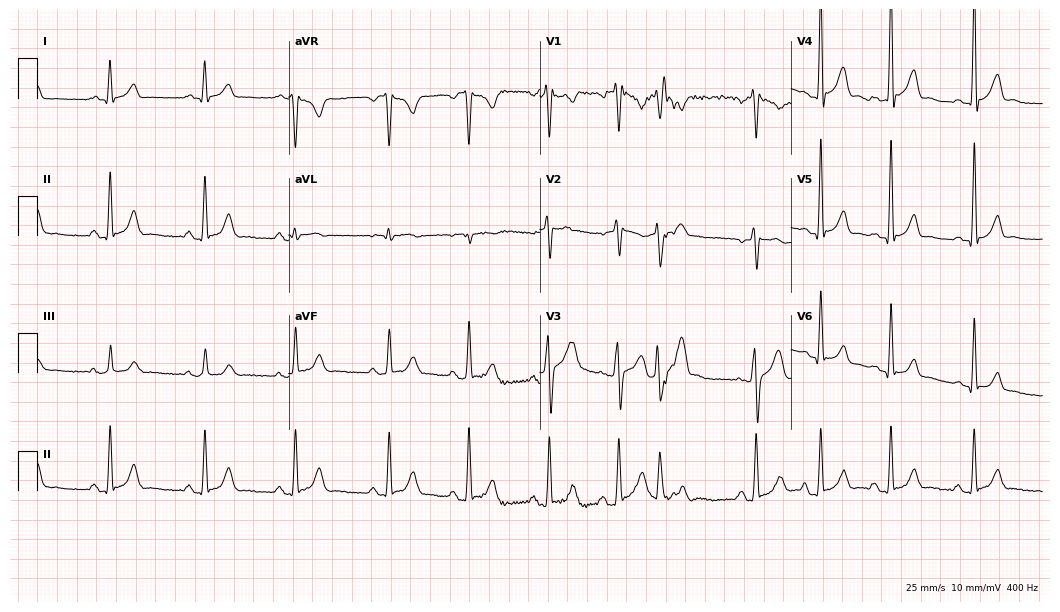
Electrocardiogram (10.2-second recording at 400 Hz), a 30-year-old man. Overall reading on record: normal ECG.